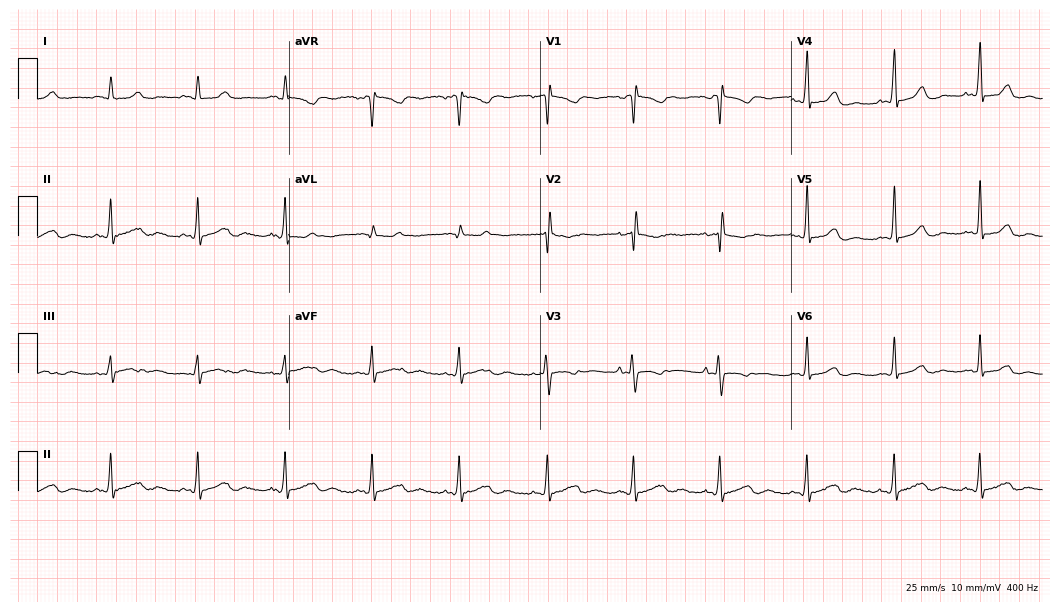
Standard 12-lead ECG recorded from a 37-year-old woman (10.2-second recording at 400 Hz). None of these six findings is recorded: first-degree AV block, right bundle branch block, left bundle branch block, sinus bradycardia, atrial fibrillation, sinus tachycardia.